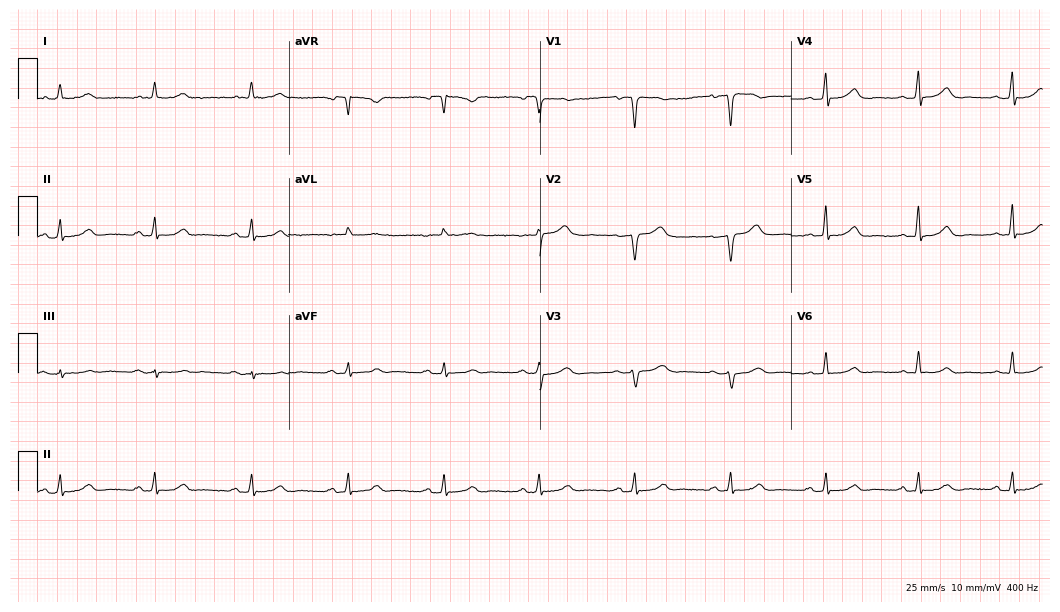
Standard 12-lead ECG recorded from a 44-year-old woman. None of these six findings is recorded: first-degree AV block, right bundle branch block (RBBB), left bundle branch block (LBBB), sinus bradycardia, atrial fibrillation (AF), sinus tachycardia.